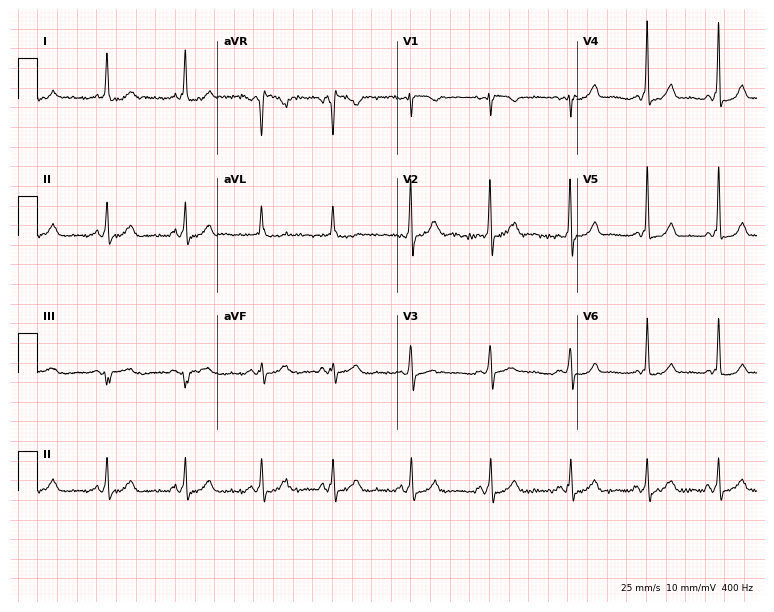
12-lead ECG from a female patient, 23 years old (7.3-second recording at 400 Hz). No first-degree AV block, right bundle branch block, left bundle branch block, sinus bradycardia, atrial fibrillation or sinus tachycardia recorded for this tracing.